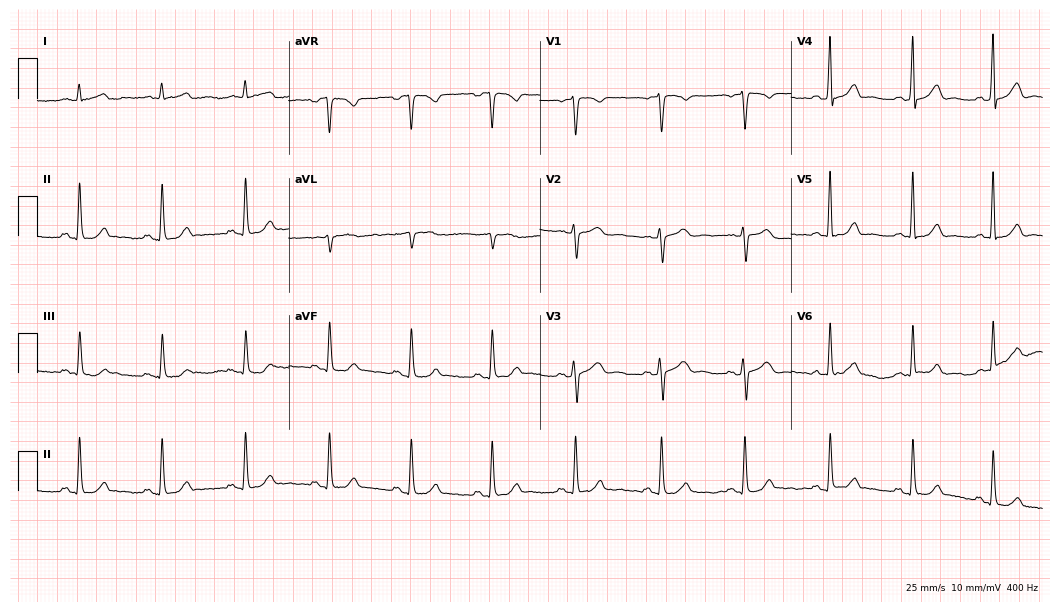
12-lead ECG from a female patient, 40 years old (10.2-second recording at 400 Hz). No first-degree AV block, right bundle branch block, left bundle branch block, sinus bradycardia, atrial fibrillation or sinus tachycardia recorded for this tracing.